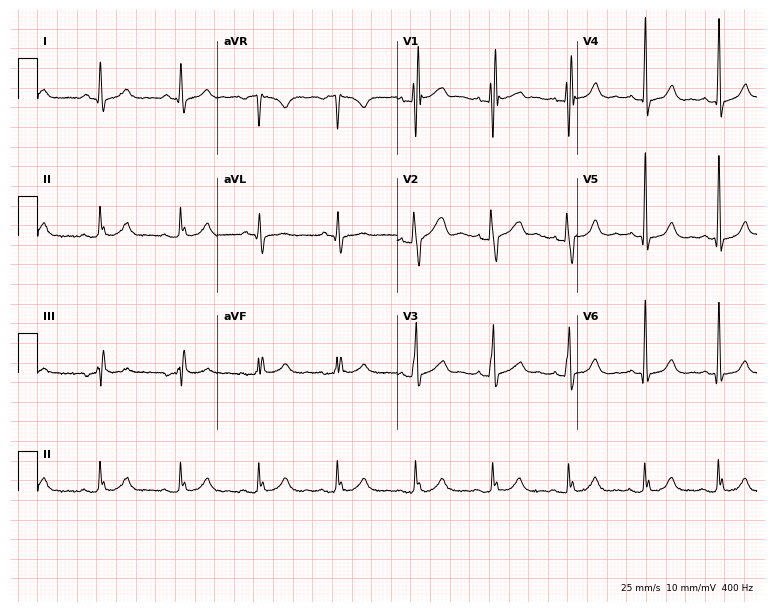
ECG (7.3-second recording at 400 Hz) — a male patient, 31 years old. Screened for six findings — first-degree AV block, right bundle branch block, left bundle branch block, sinus bradycardia, atrial fibrillation, sinus tachycardia — none is recorded.